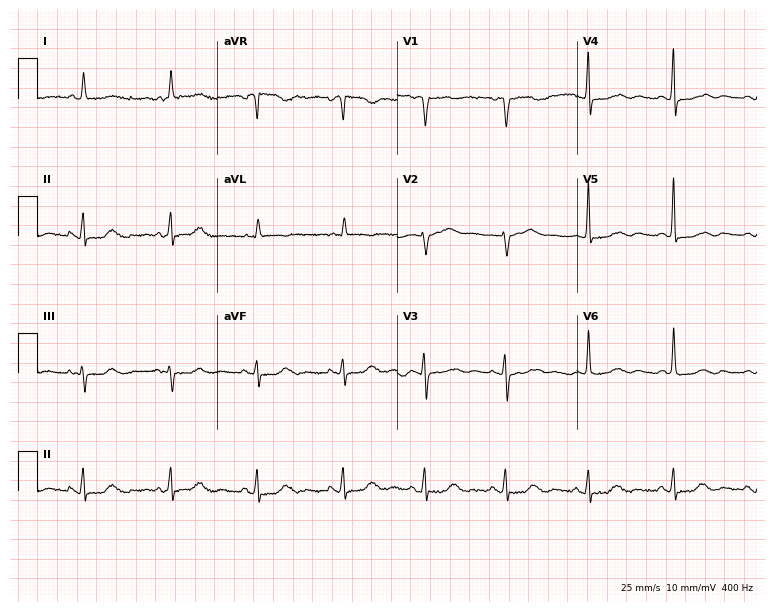
Resting 12-lead electrocardiogram (7.3-second recording at 400 Hz). Patient: a 71-year-old woman. Read as a normal ECG.